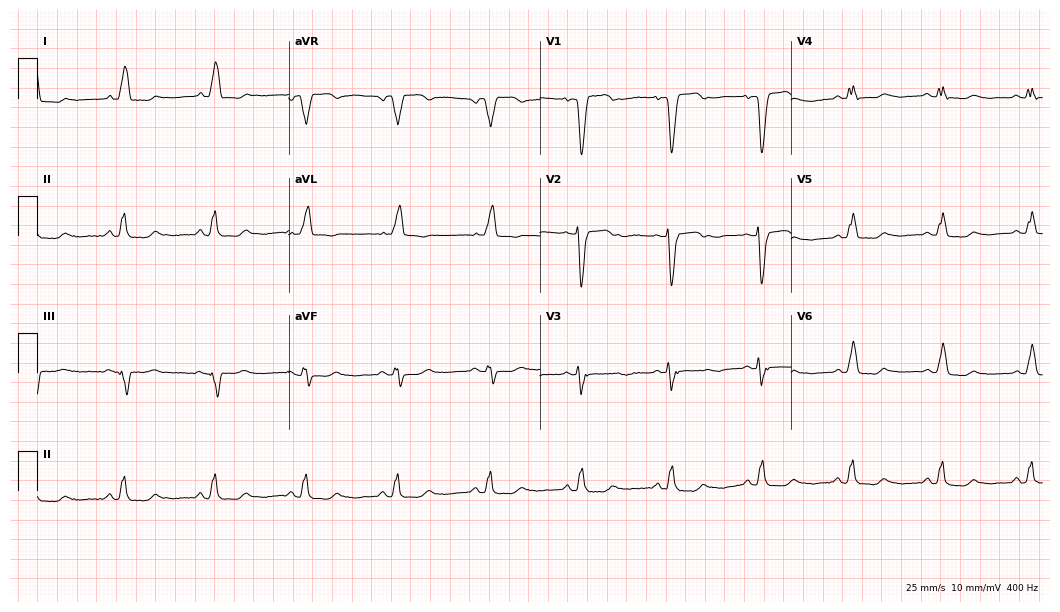
Electrocardiogram (10.2-second recording at 400 Hz), a female, 78 years old. Interpretation includes left bundle branch block.